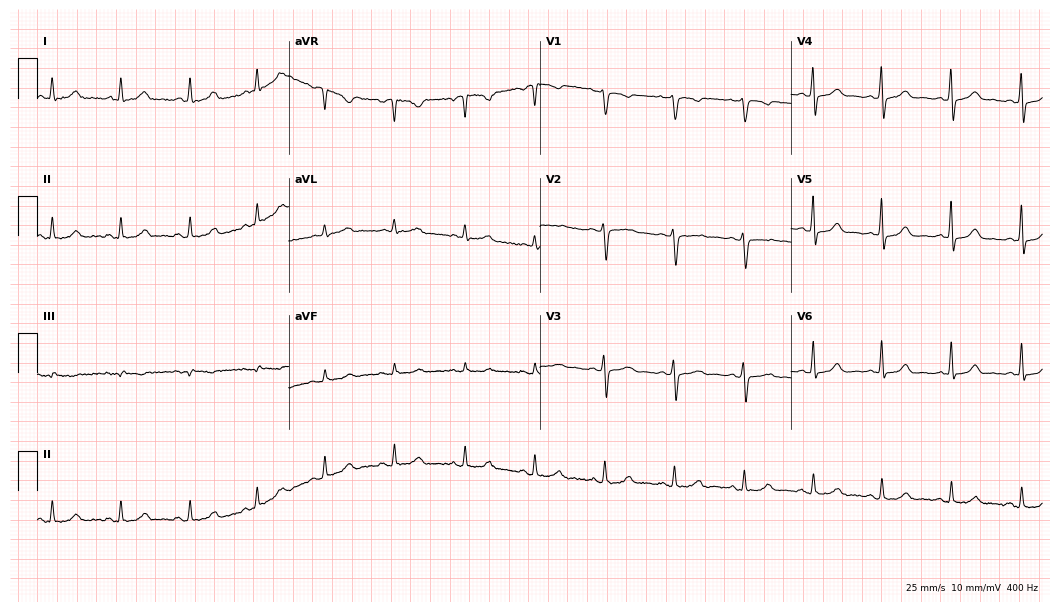
12-lead ECG from a 39-year-old woman. Recorded interpretation: within normal limits.